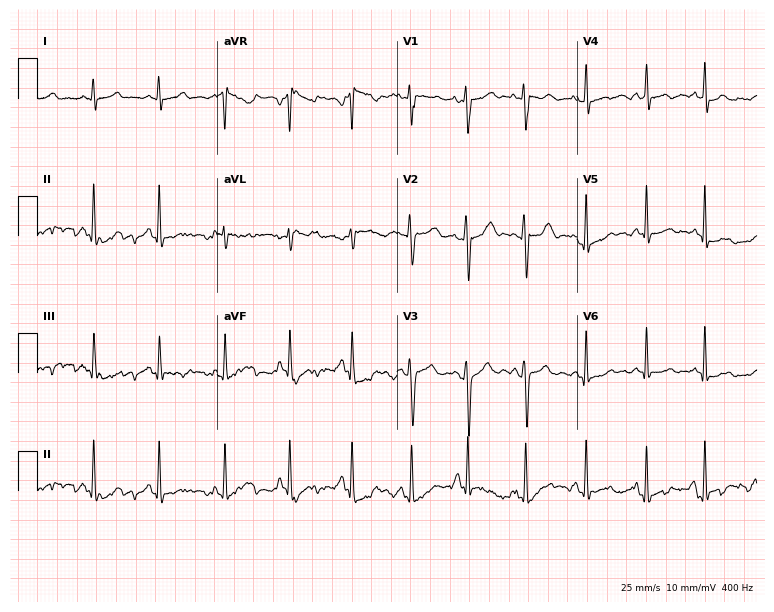
ECG — a female patient, 18 years old. Labelled as a normal ECG.